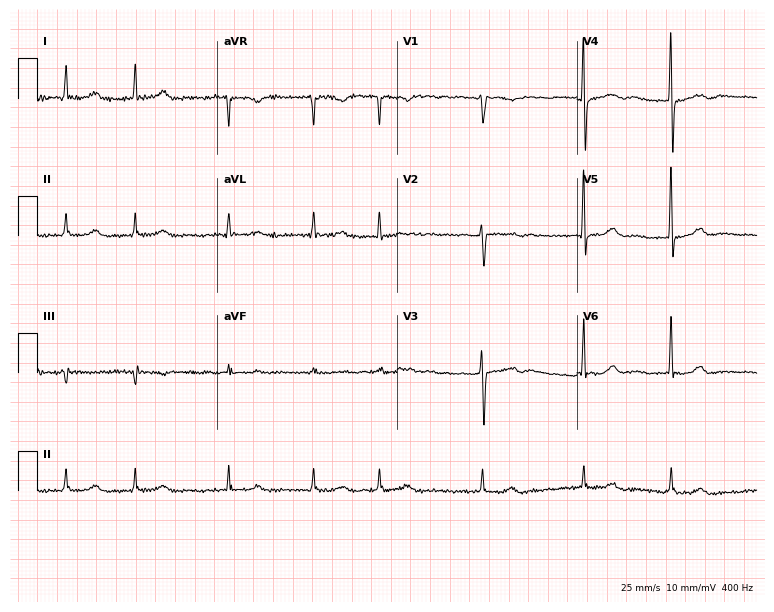
ECG (7.3-second recording at 400 Hz) — a man, 83 years old. Findings include atrial fibrillation (AF).